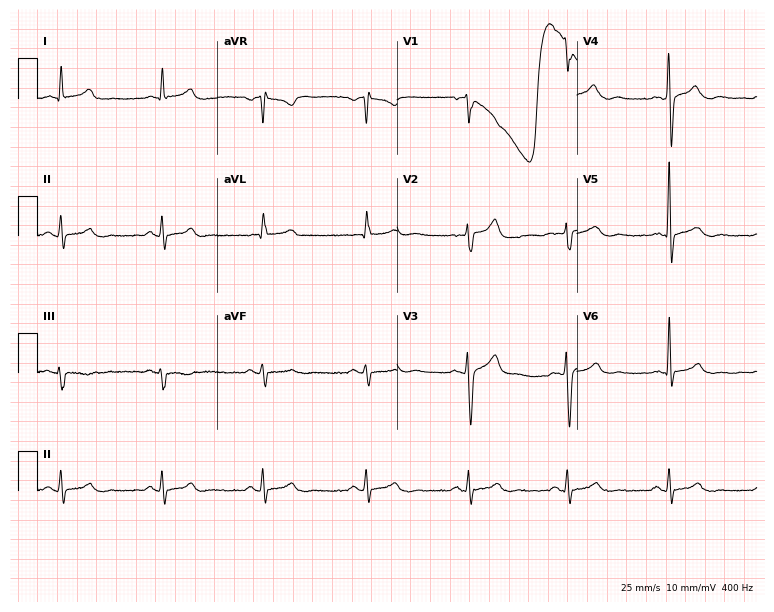
Electrocardiogram, a male, 60 years old. Overall reading on record: normal ECG.